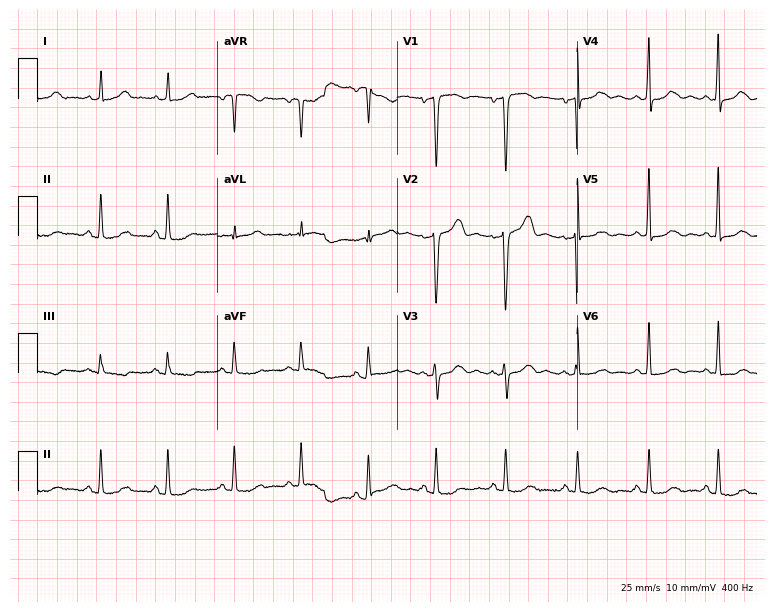
12-lead ECG from a female, 40 years old. Recorded interpretation: within normal limits.